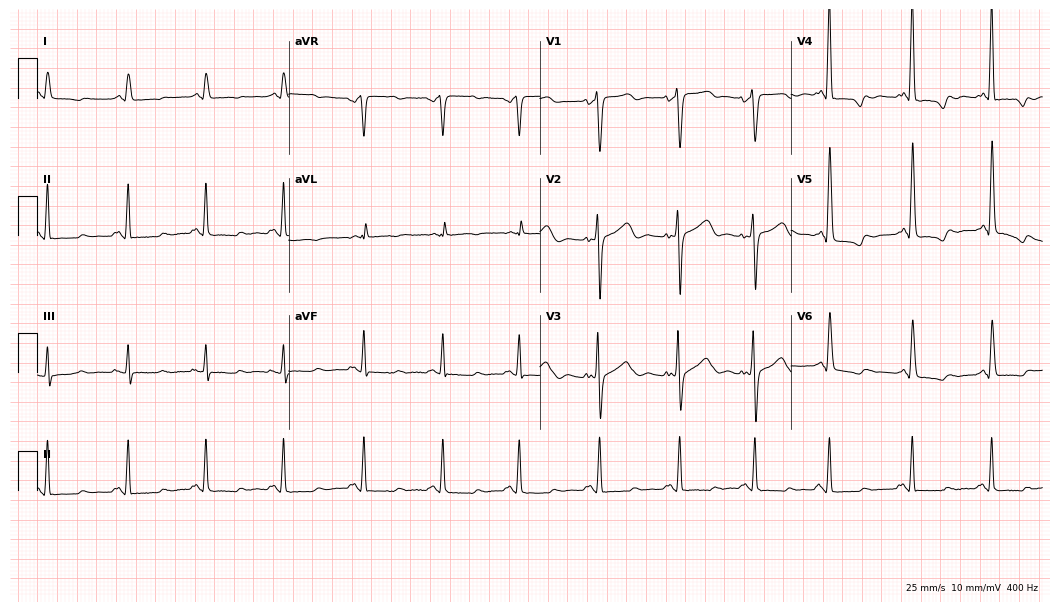
Standard 12-lead ECG recorded from a female, 77 years old. None of these six findings is recorded: first-degree AV block, right bundle branch block, left bundle branch block, sinus bradycardia, atrial fibrillation, sinus tachycardia.